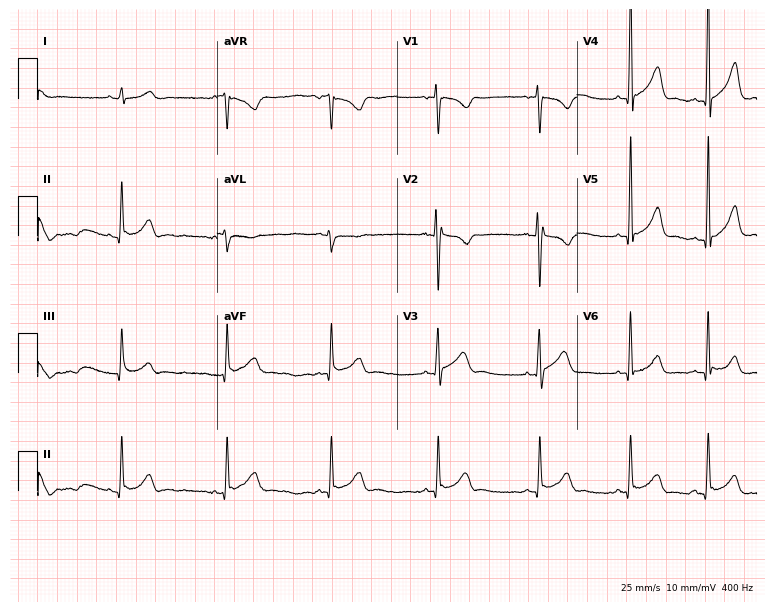
Standard 12-lead ECG recorded from an 18-year-old man (7.3-second recording at 400 Hz). Read as a normal ECG.